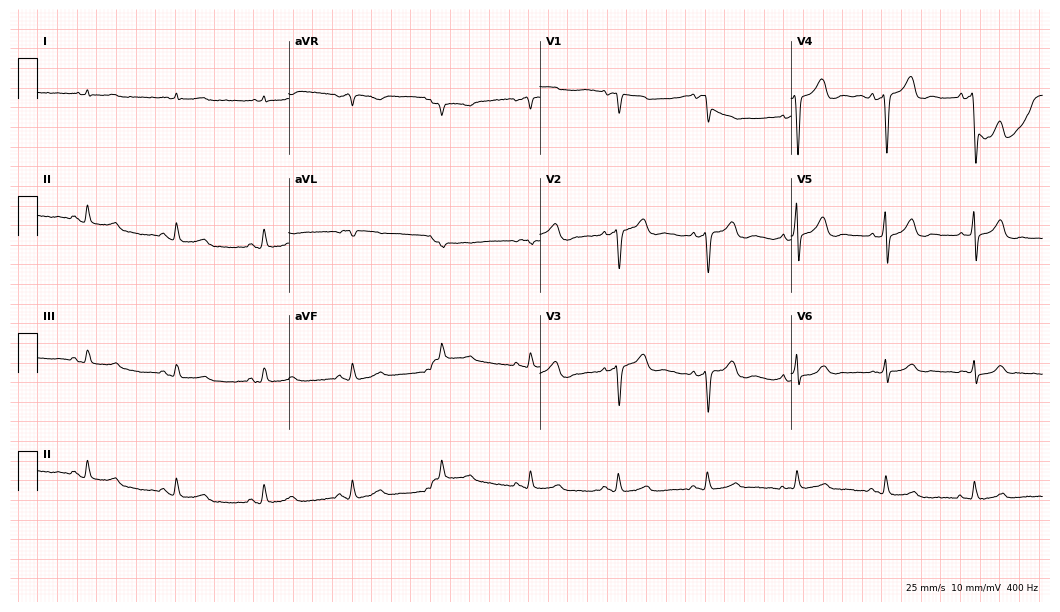
12-lead ECG from an 81-year-old male patient. Recorded interpretation: within normal limits.